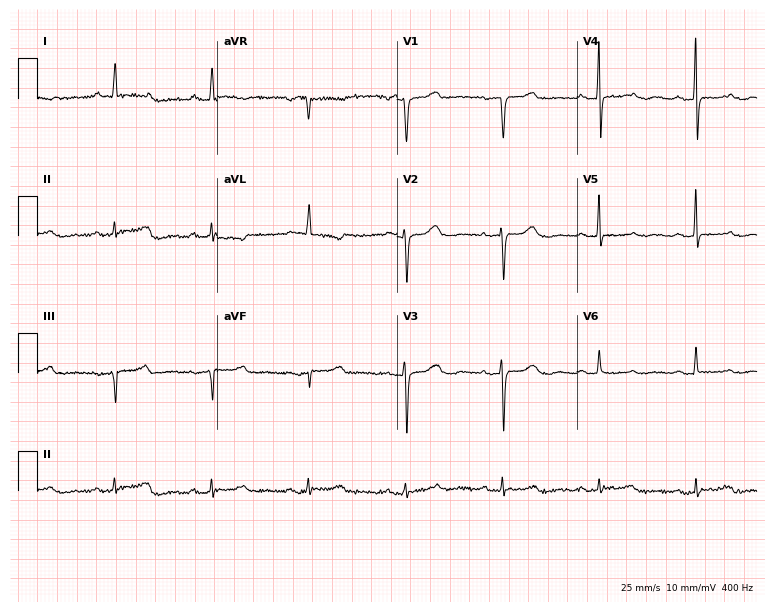
12-lead ECG from a 68-year-old woman. Screened for six findings — first-degree AV block, right bundle branch block, left bundle branch block, sinus bradycardia, atrial fibrillation, sinus tachycardia — none is recorded.